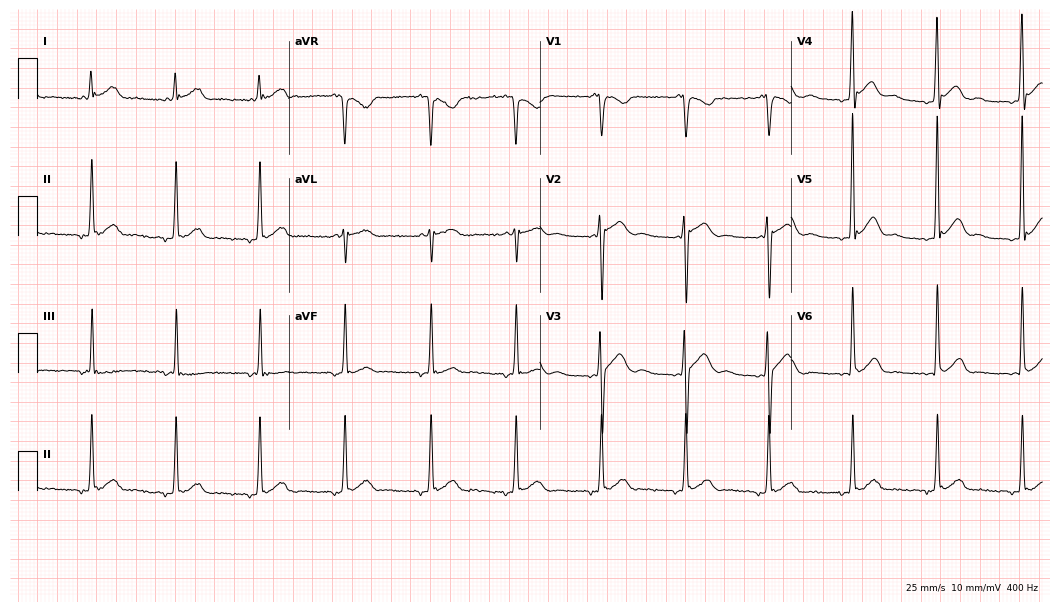
Electrocardiogram, a 22-year-old male. Of the six screened findings (first-degree AV block, right bundle branch block, left bundle branch block, sinus bradycardia, atrial fibrillation, sinus tachycardia), none is recorded. Other findings, if any, are not listed.